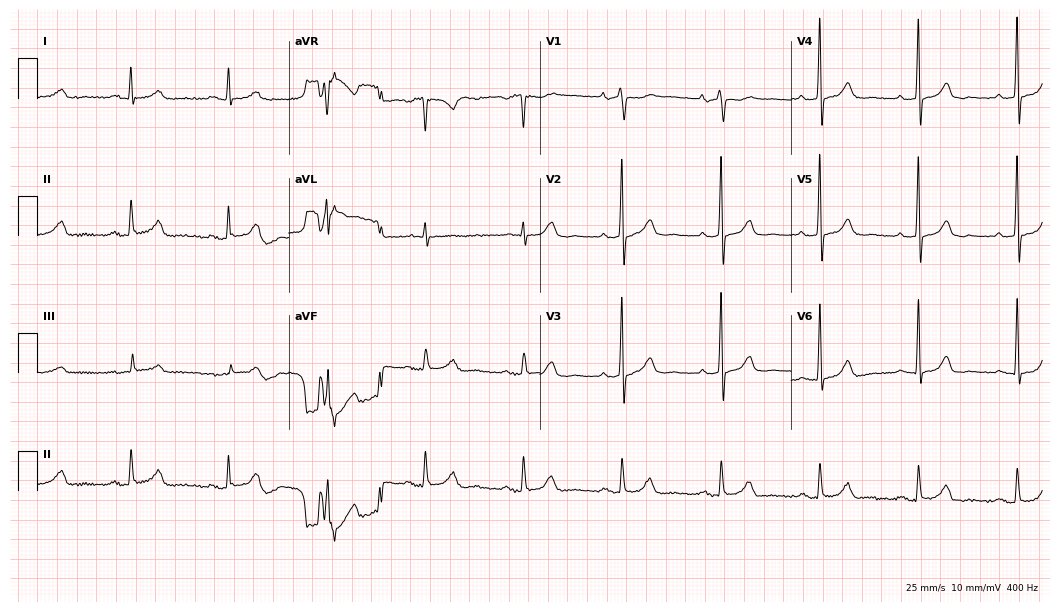
12-lead ECG from a male, 70 years old (10.2-second recording at 400 Hz). Recorded interpretation: within normal limits.